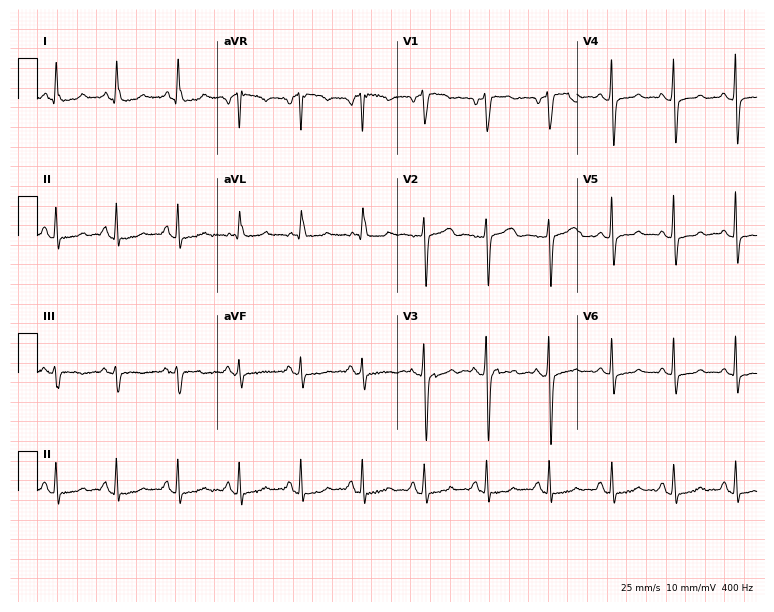
Standard 12-lead ECG recorded from a 60-year-old woman (7.3-second recording at 400 Hz). None of these six findings is recorded: first-degree AV block, right bundle branch block, left bundle branch block, sinus bradycardia, atrial fibrillation, sinus tachycardia. Only these six findings were labelled.